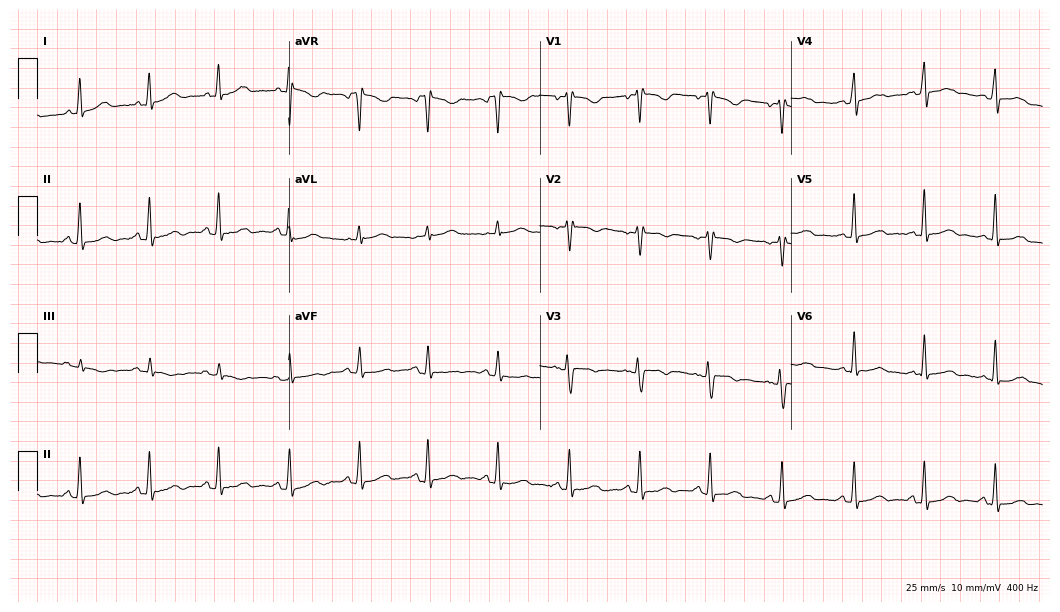
12-lead ECG from a 40-year-old female. No first-degree AV block, right bundle branch block, left bundle branch block, sinus bradycardia, atrial fibrillation or sinus tachycardia recorded for this tracing.